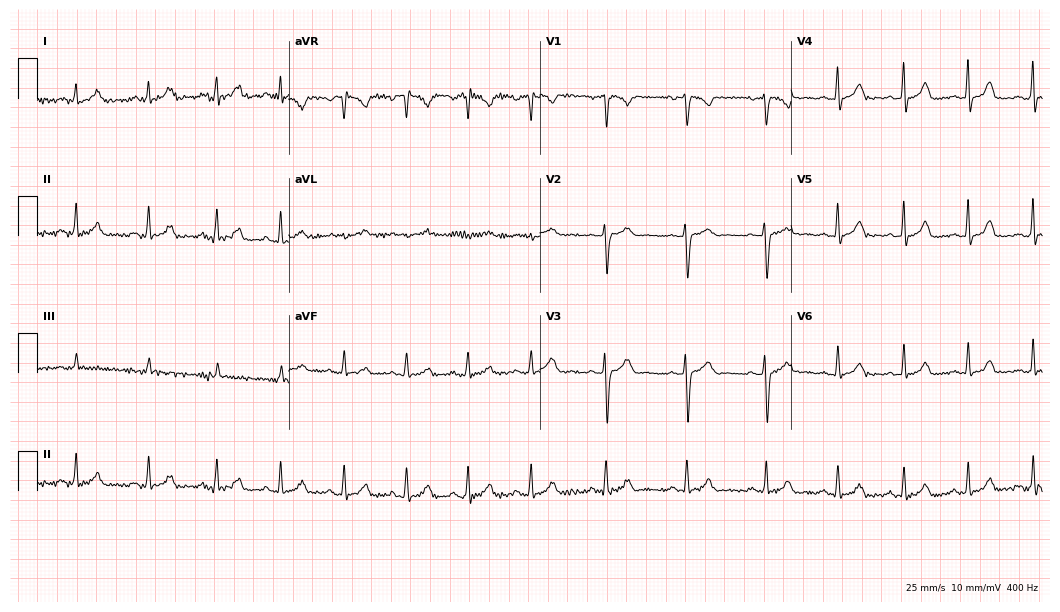
12-lead ECG from a 17-year-old female patient (10.2-second recording at 400 Hz). Recorded interpretation: within normal limits.